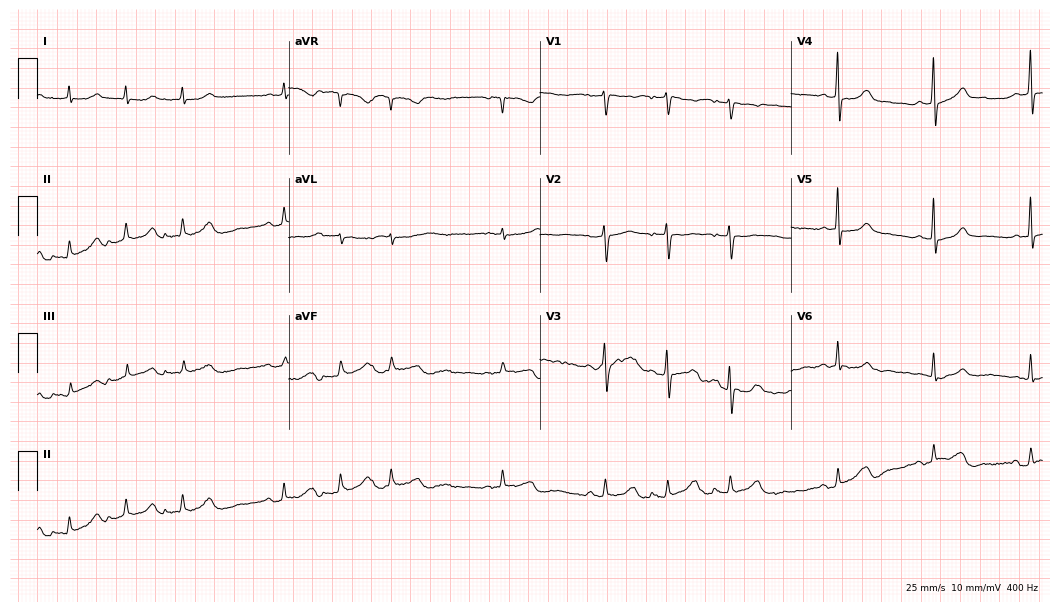
Electrocardiogram, a 64-year-old woman. Of the six screened findings (first-degree AV block, right bundle branch block, left bundle branch block, sinus bradycardia, atrial fibrillation, sinus tachycardia), none is recorded. Other findings, if any, are not listed.